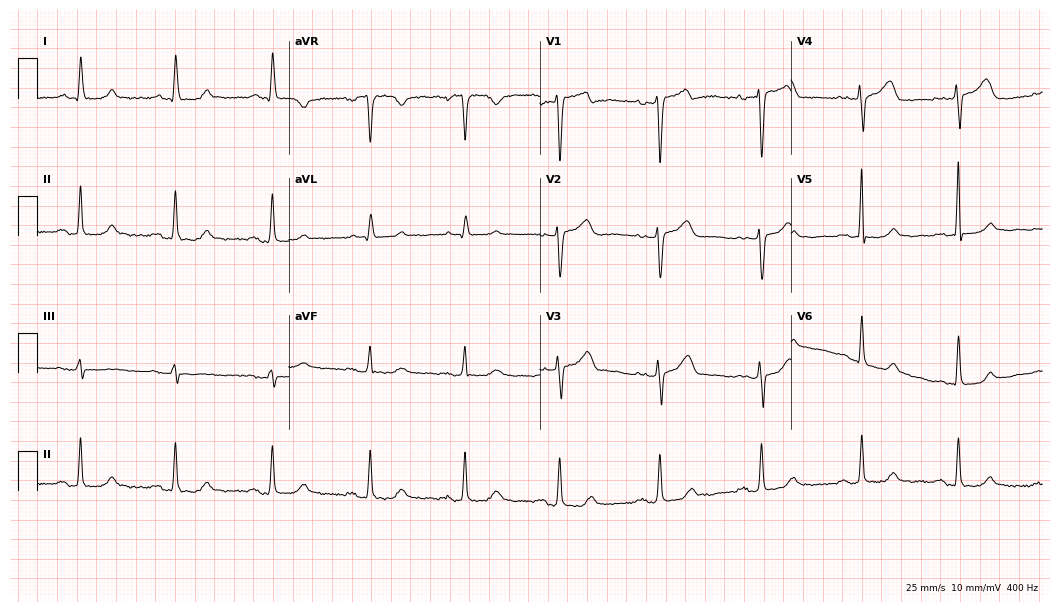
12-lead ECG from a 66-year-old woman. Labelled as a normal ECG.